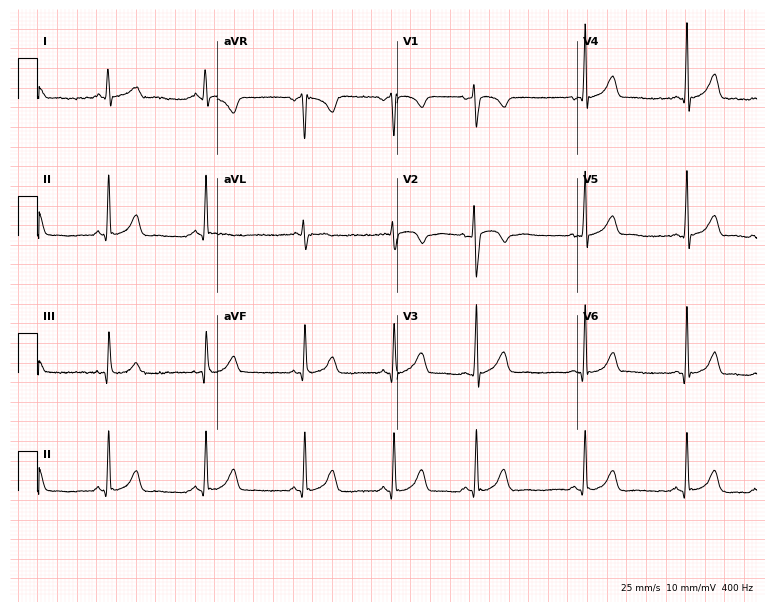
Electrocardiogram, a 19-year-old woman. Of the six screened findings (first-degree AV block, right bundle branch block, left bundle branch block, sinus bradycardia, atrial fibrillation, sinus tachycardia), none is recorded. Only these six findings were labelled.